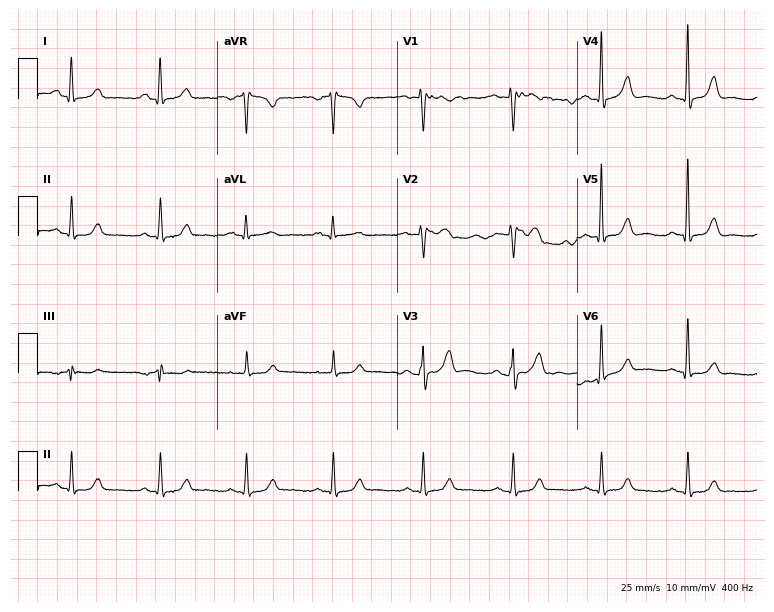
Resting 12-lead electrocardiogram (7.3-second recording at 400 Hz). Patient: a female, 57 years old. Read as a normal ECG.